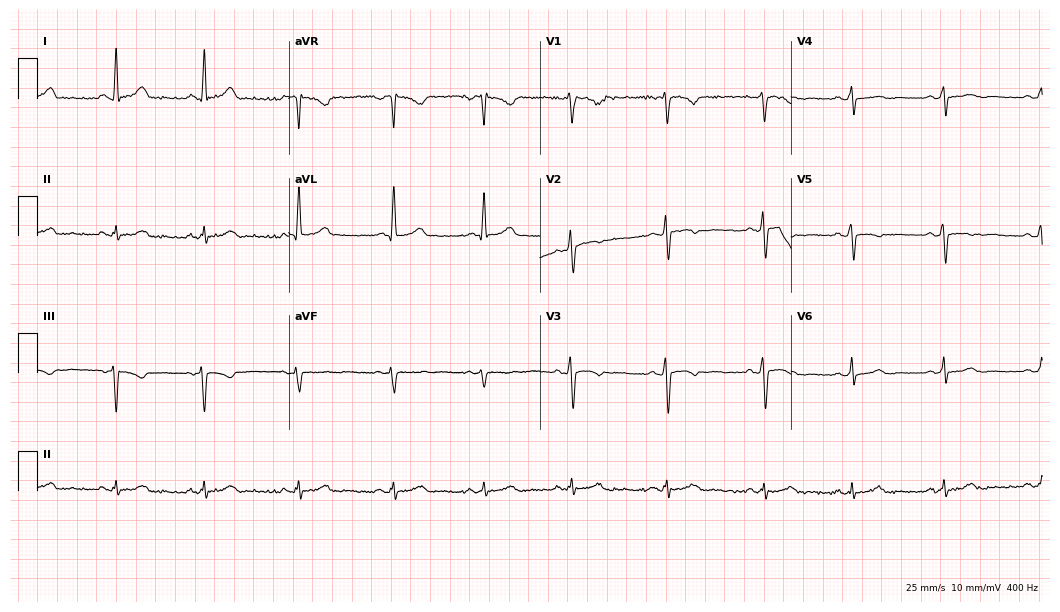
Electrocardiogram, a 53-year-old woman. Of the six screened findings (first-degree AV block, right bundle branch block, left bundle branch block, sinus bradycardia, atrial fibrillation, sinus tachycardia), none is recorded. Other findings, if any, are not listed.